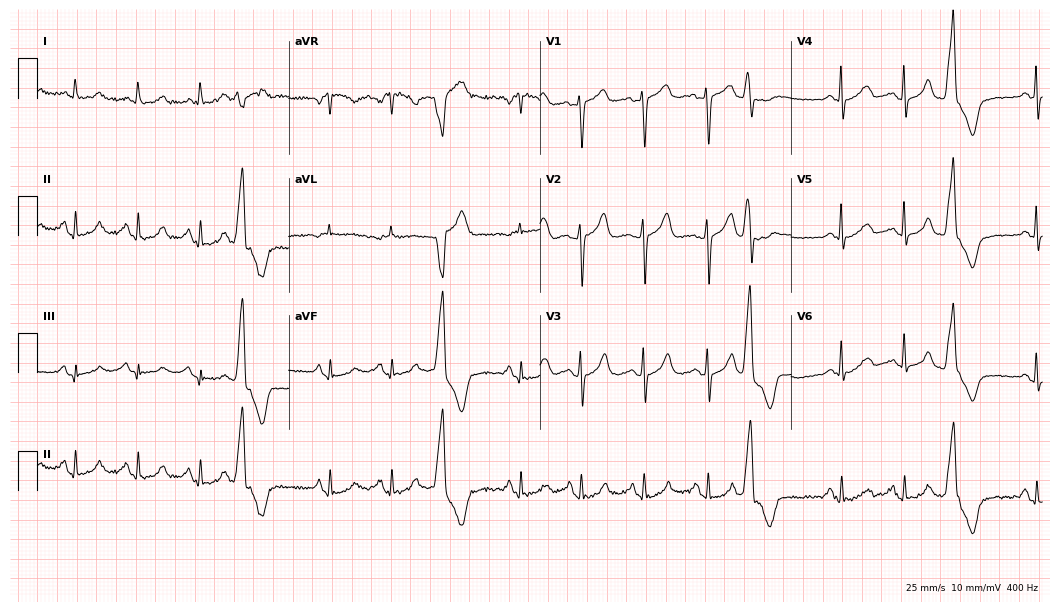
12-lead ECG (10.2-second recording at 400 Hz) from a 47-year-old female. Screened for six findings — first-degree AV block, right bundle branch block, left bundle branch block, sinus bradycardia, atrial fibrillation, sinus tachycardia — none is recorded. Only these six findings were labelled.